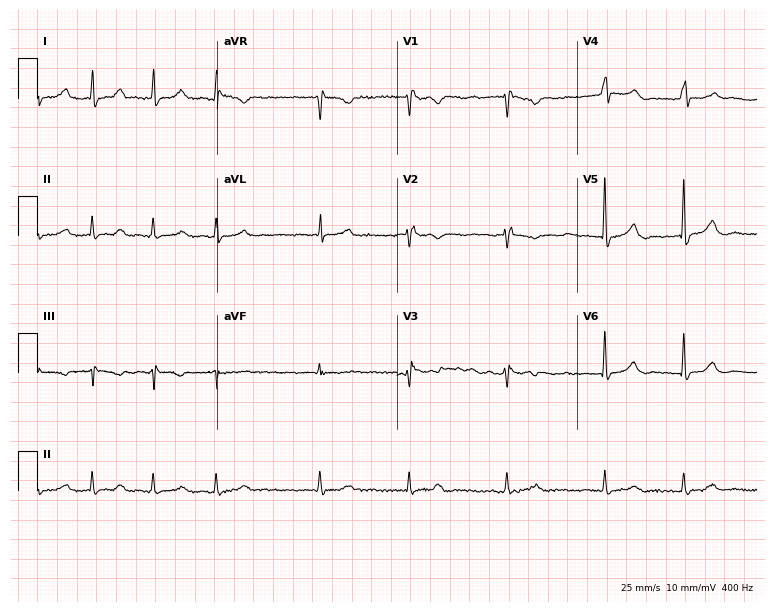
12-lead ECG (7.3-second recording at 400 Hz) from a woman, 76 years old. Findings include atrial fibrillation (AF).